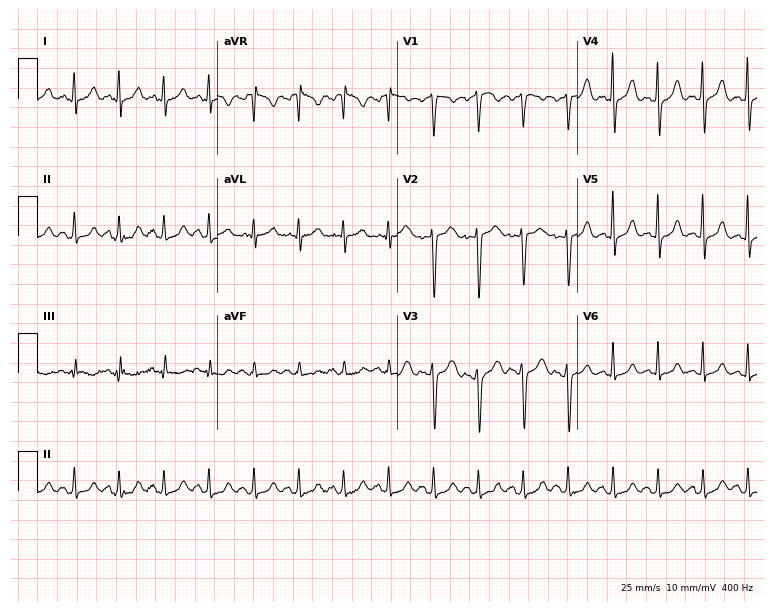
Resting 12-lead electrocardiogram. Patient: a 44-year-old female. The tracing shows sinus tachycardia (a sinus rate of 100 beats per minute or more).